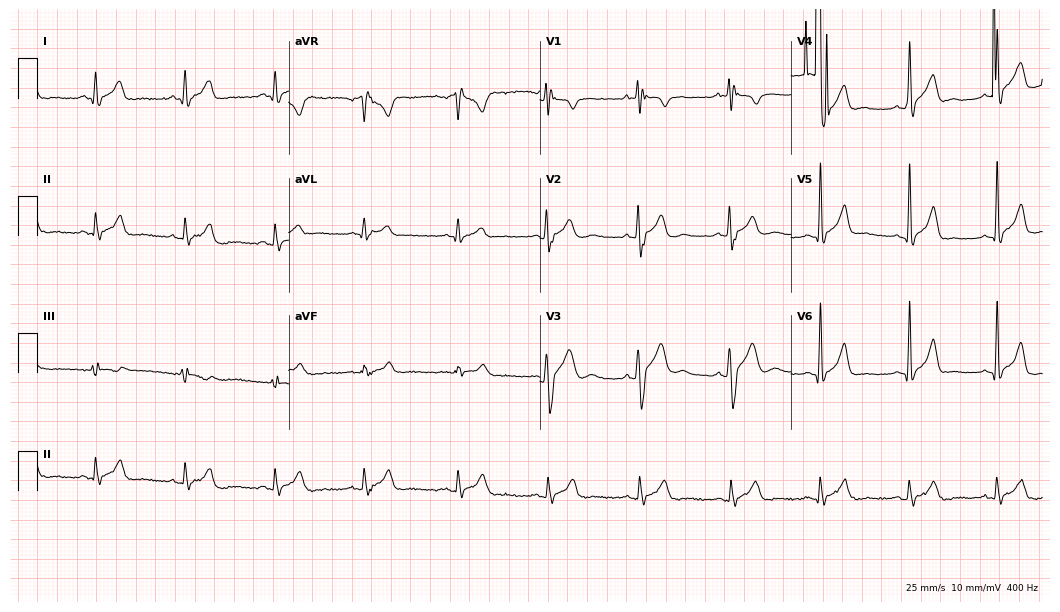
Resting 12-lead electrocardiogram. Patient: a man, 20 years old. Read as a normal ECG.